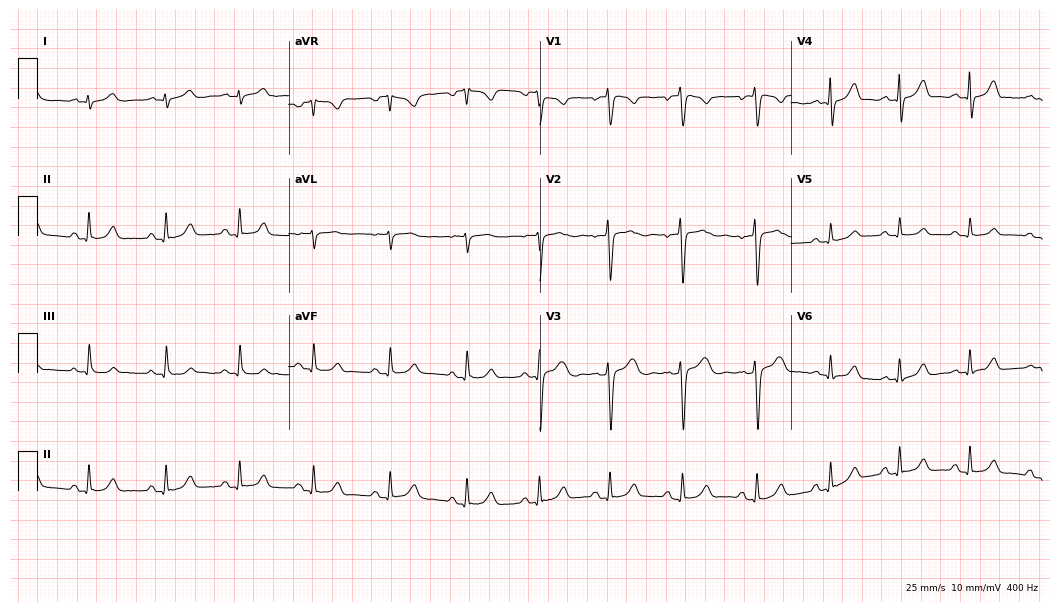
ECG — a woman, 23 years old. Labelled as a normal ECG.